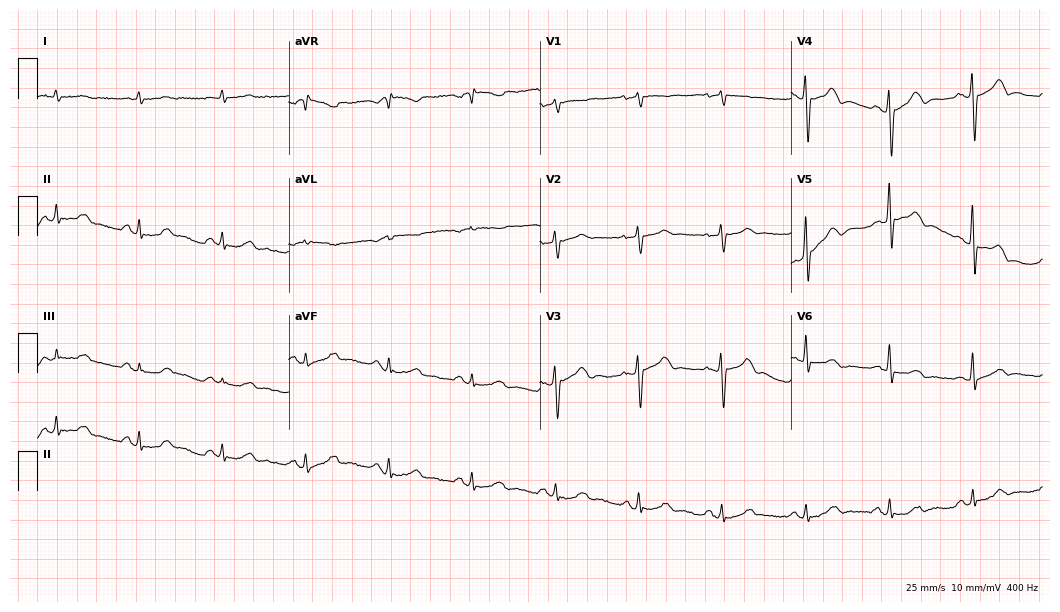
12-lead ECG from a male, 69 years old. Recorded interpretation: within normal limits.